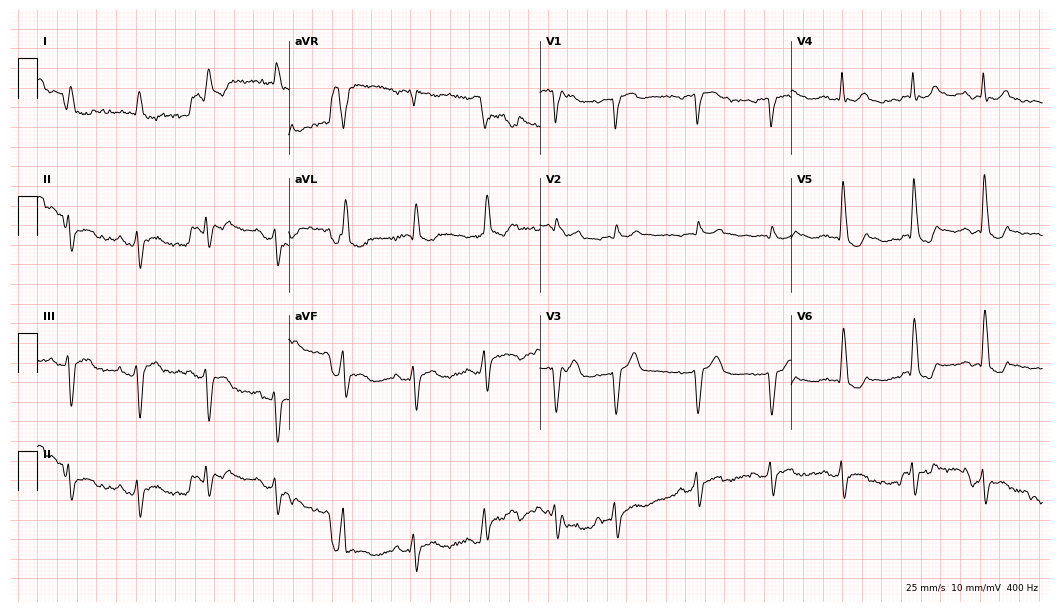
Resting 12-lead electrocardiogram (10.2-second recording at 400 Hz). Patient: a 79-year-old female. The tracing shows left bundle branch block (LBBB).